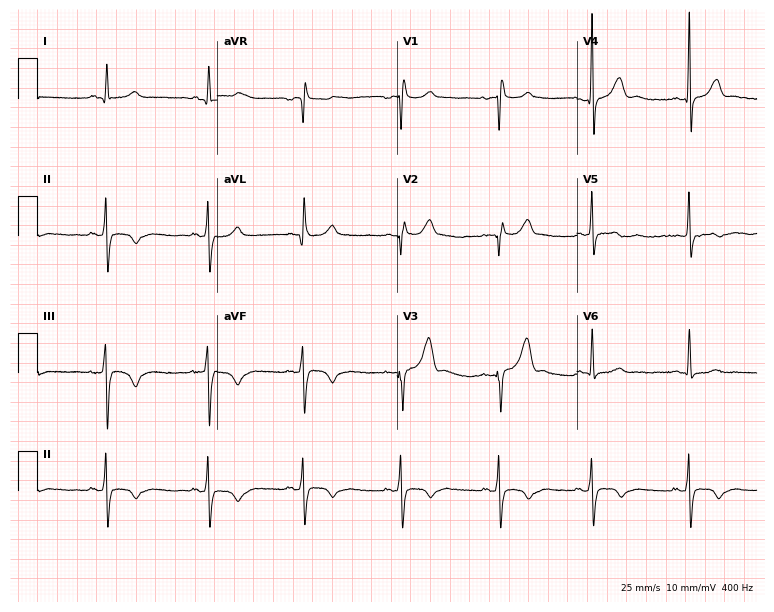
12-lead ECG from a 24-year-old male patient. Labelled as a normal ECG.